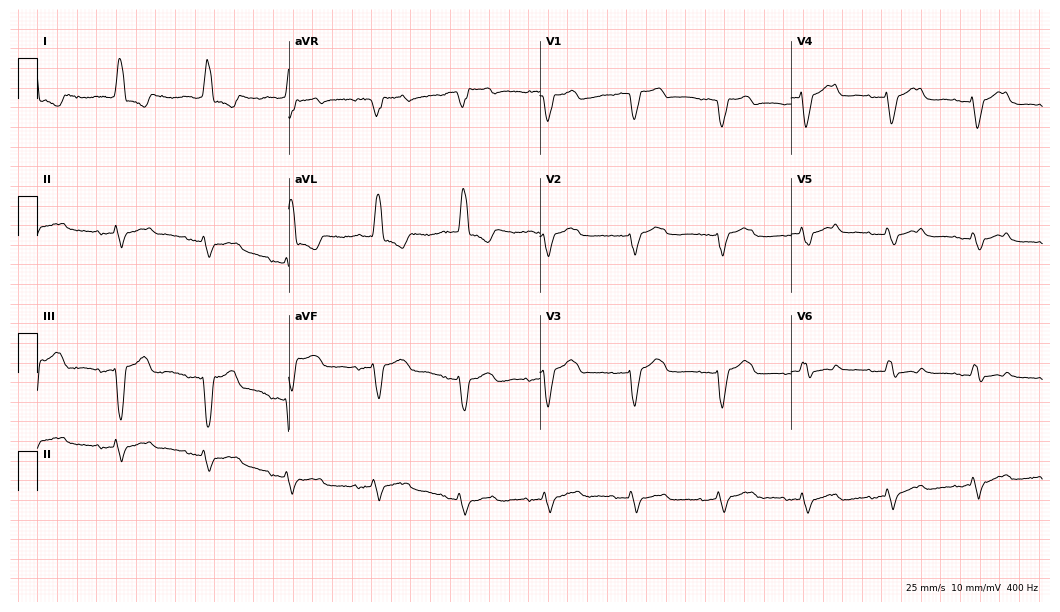
12-lead ECG (10.2-second recording at 400 Hz) from a female patient, 80 years old. Findings include left bundle branch block.